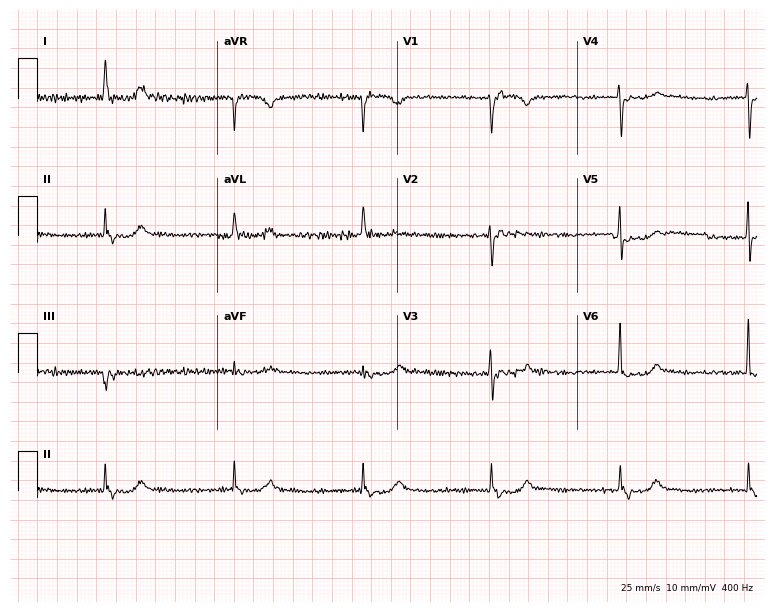
Electrocardiogram (7.3-second recording at 400 Hz), a female, 56 years old. Of the six screened findings (first-degree AV block, right bundle branch block, left bundle branch block, sinus bradycardia, atrial fibrillation, sinus tachycardia), none is recorded. Findings outside these six are not listed.